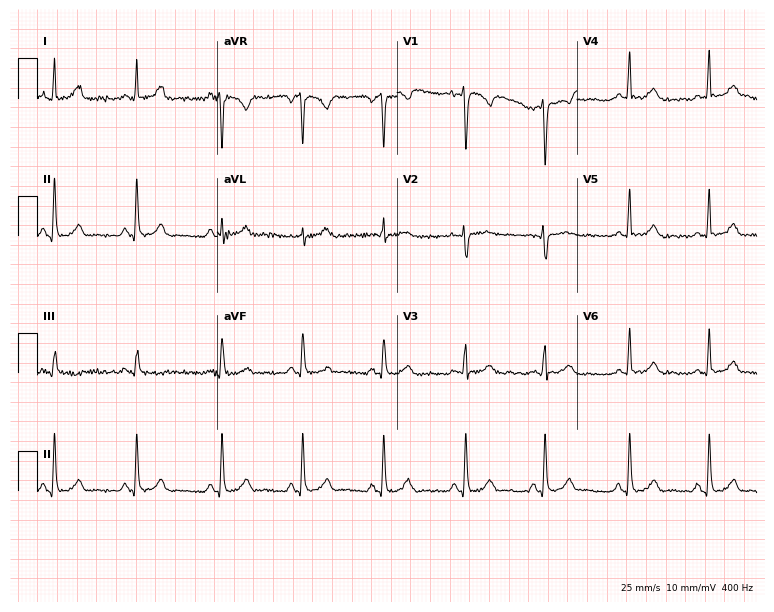
Electrocardiogram (7.3-second recording at 400 Hz), a female, 32 years old. Overall reading on record: normal ECG.